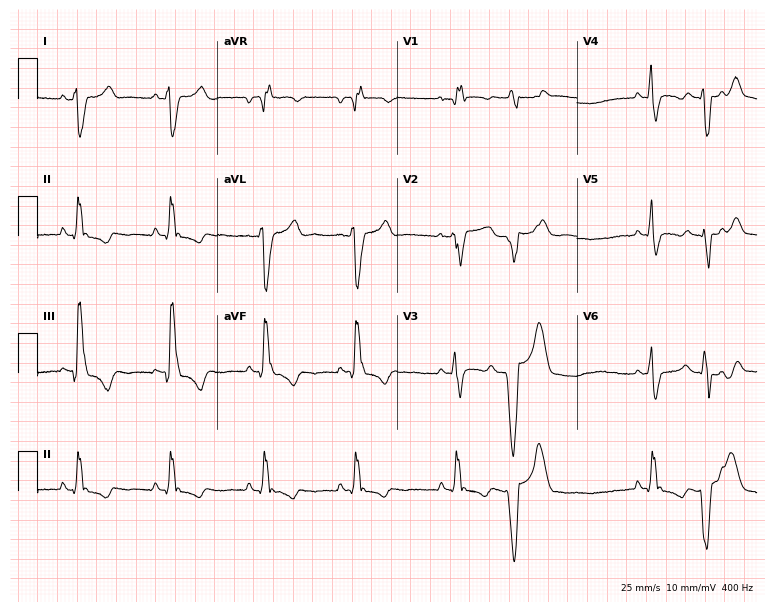
ECG (7.3-second recording at 400 Hz) — a woman, 36 years old. Findings include right bundle branch block (RBBB).